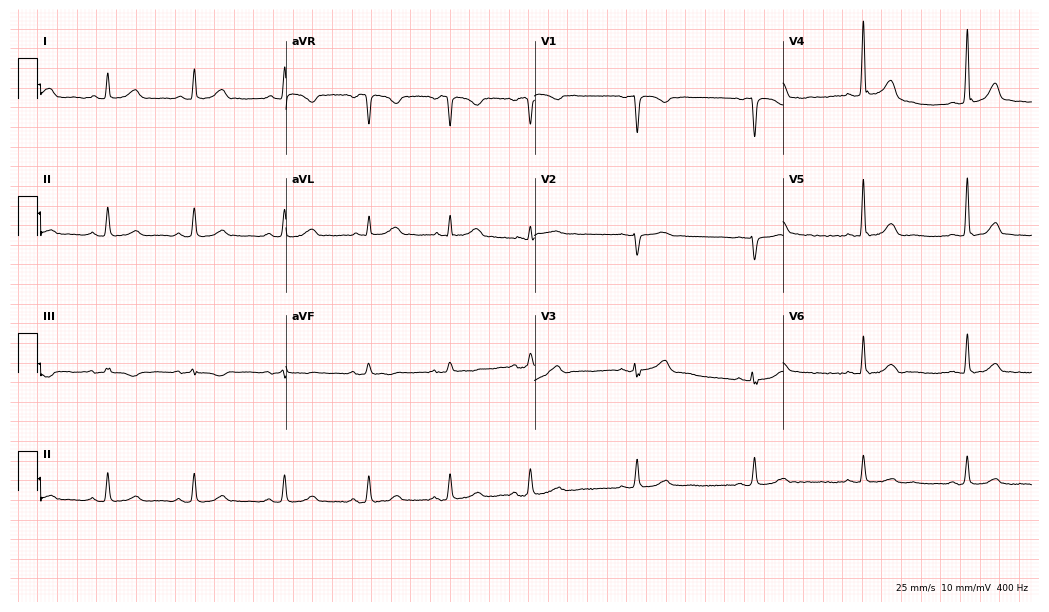
Resting 12-lead electrocardiogram. Patient: a female, 47 years old. None of these six findings is recorded: first-degree AV block, right bundle branch block, left bundle branch block, sinus bradycardia, atrial fibrillation, sinus tachycardia. Only these six findings were labelled.